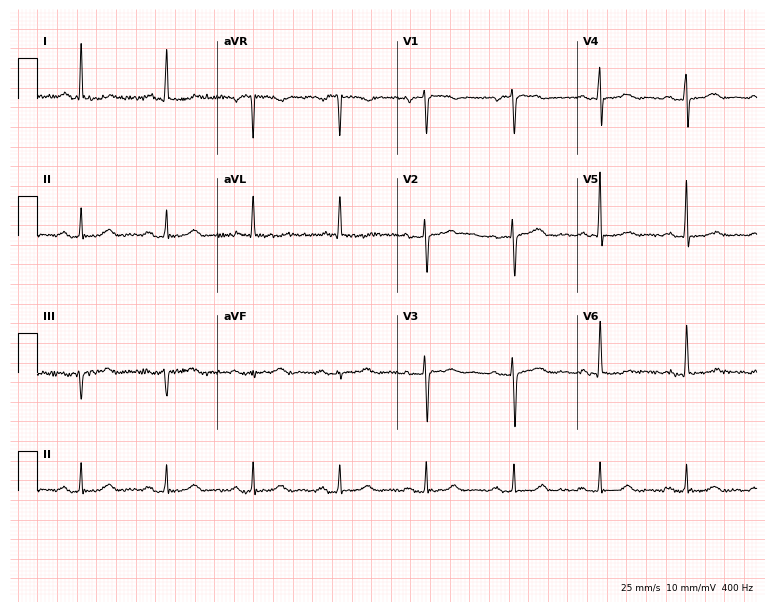
Electrocardiogram, a woman, 70 years old. Of the six screened findings (first-degree AV block, right bundle branch block, left bundle branch block, sinus bradycardia, atrial fibrillation, sinus tachycardia), none is recorded. Findings outside these six are not listed.